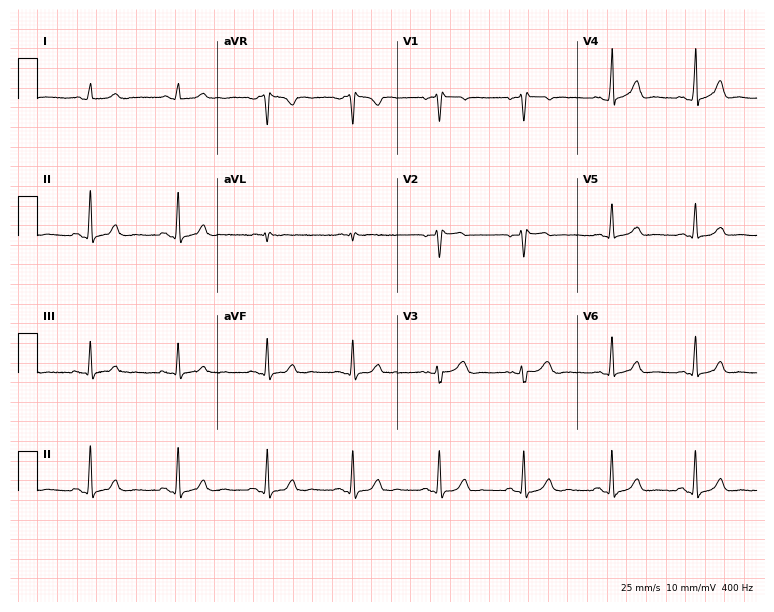
12-lead ECG from a woman, 38 years old. Labelled as a normal ECG.